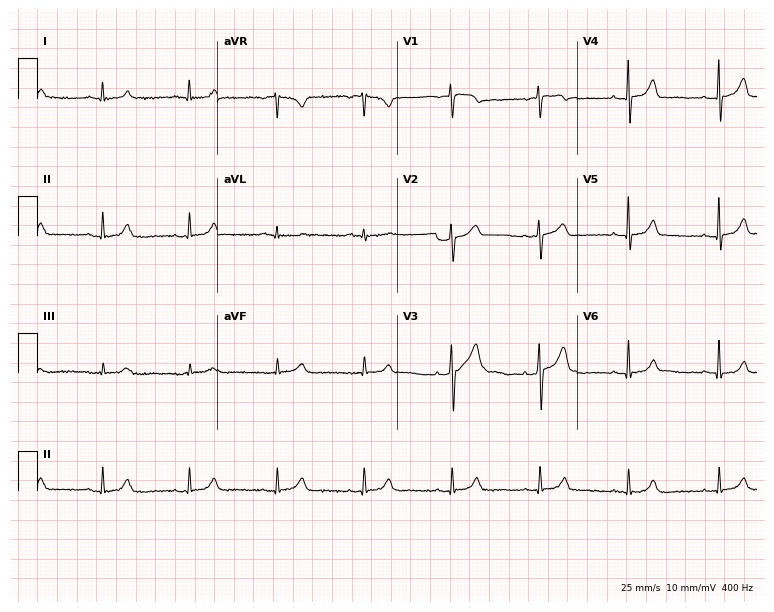
12-lead ECG from a man, 57 years old. No first-degree AV block, right bundle branch block, left bundle branch block, sinus bradycardia, atrial fibrillation or sinus tachycardia recorded for this tracing.